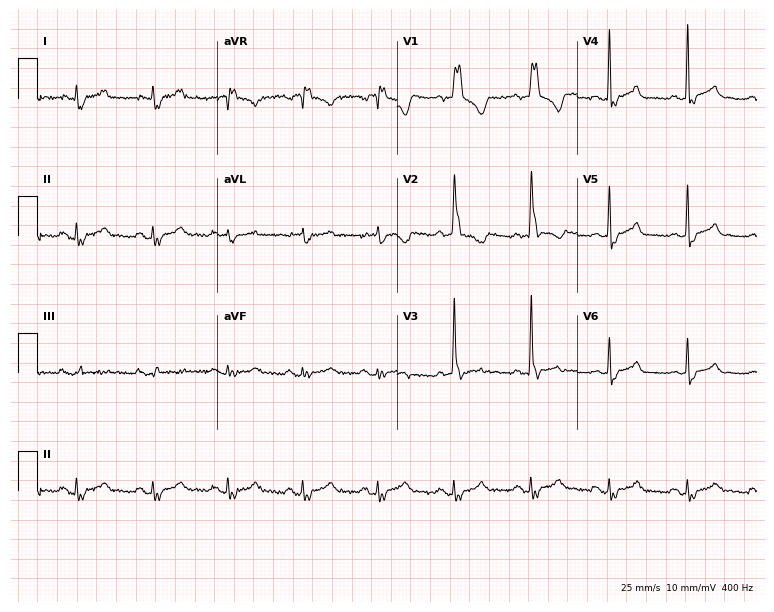
Resting 12-lead electrocardiogram (7.3-second recording at 400 Hz). Patient: a 77-year-old male. The tracing shows right bundle branch block.